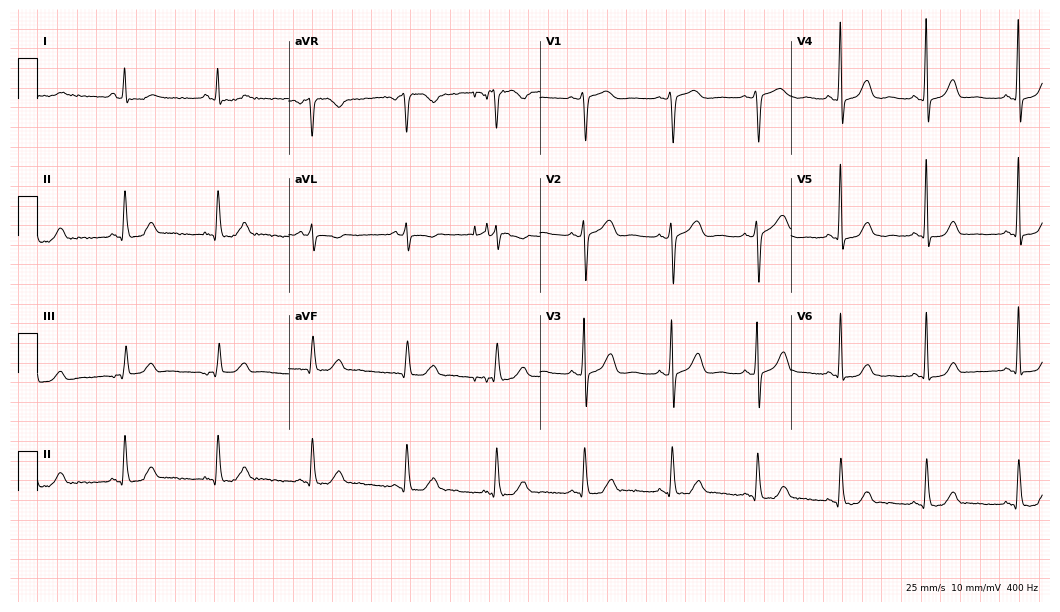
Electrocardiogram (10.2-second recording at 400 Hz), a 58-year-old female patient. Overall reading on record: normal ECG.